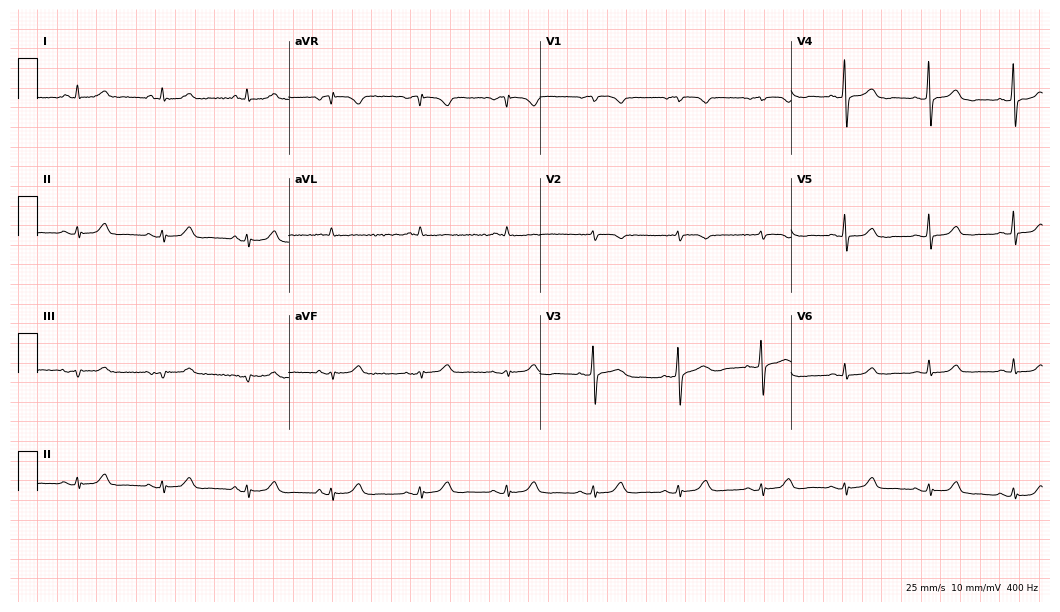
Standard 12-lead ECG recorded from a 70-year-old woman (10.2-second recording at 400 Hz). None of these six findings is recorded: first-degree AV block, right bundle branch block, left bundle branch block, sinus bradycardia, atrial fibrillation, sinus tachycardia. Other findings, if any, are not listed.